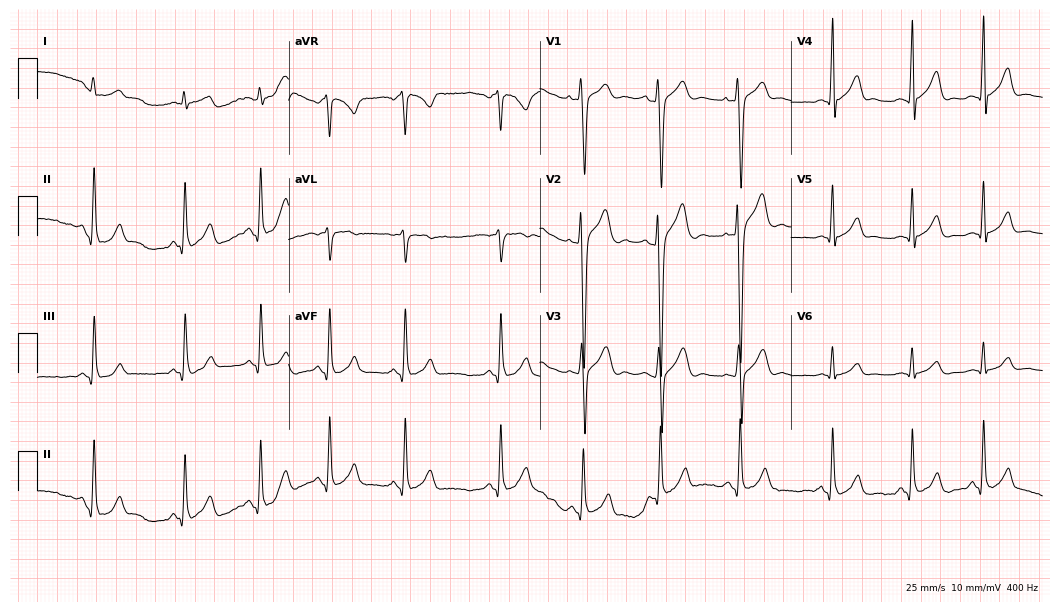
12-lead ECG from a man, 17 years old. Screened for six findings — first-degree AV block, right bundle branch block, left bundle branch block, sinus bradycardia, atrial fibrillation, sinus tachycardia — none is recorded. Findings outside these six are not listed.